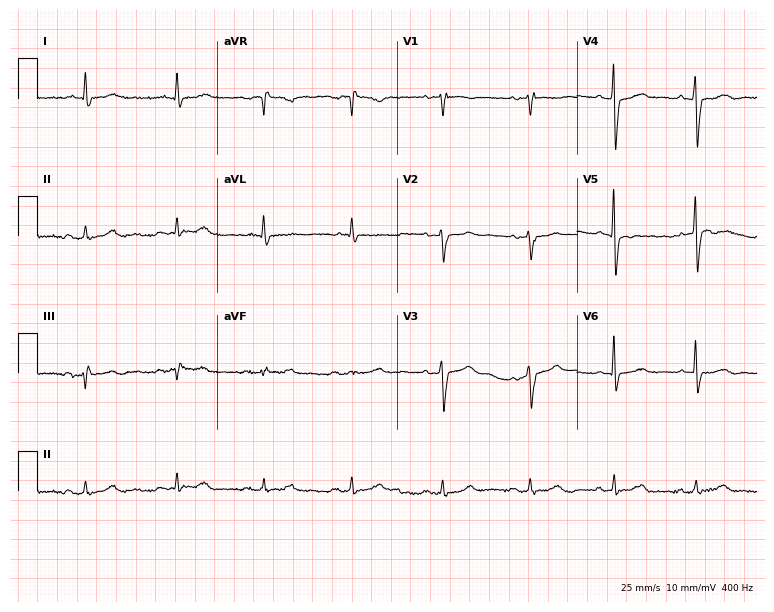
ECG (7.3-second recording at 400 Hz) — a 70-year-old woman. Labelled as a normal ECG.